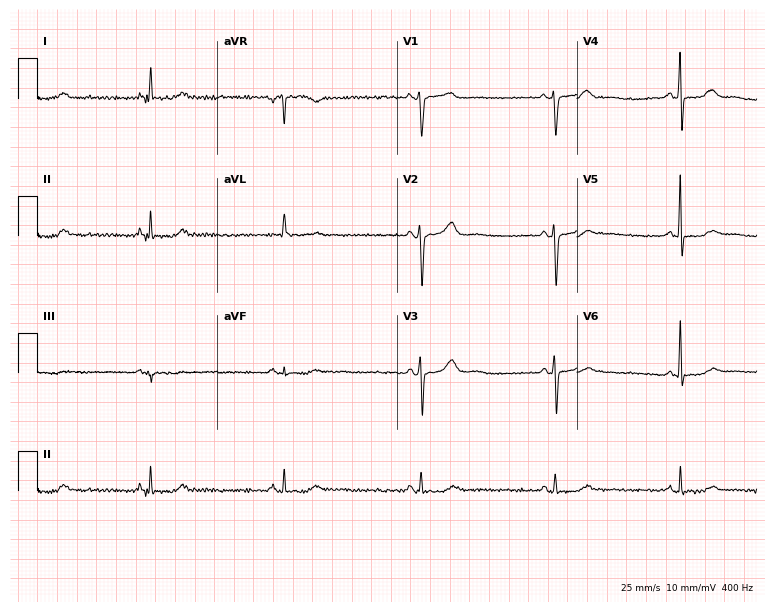
12-lead ECG from a female patient, 65 years old. Shows sinus bradycardia (a sinus rate of 50 beats per minute or less).